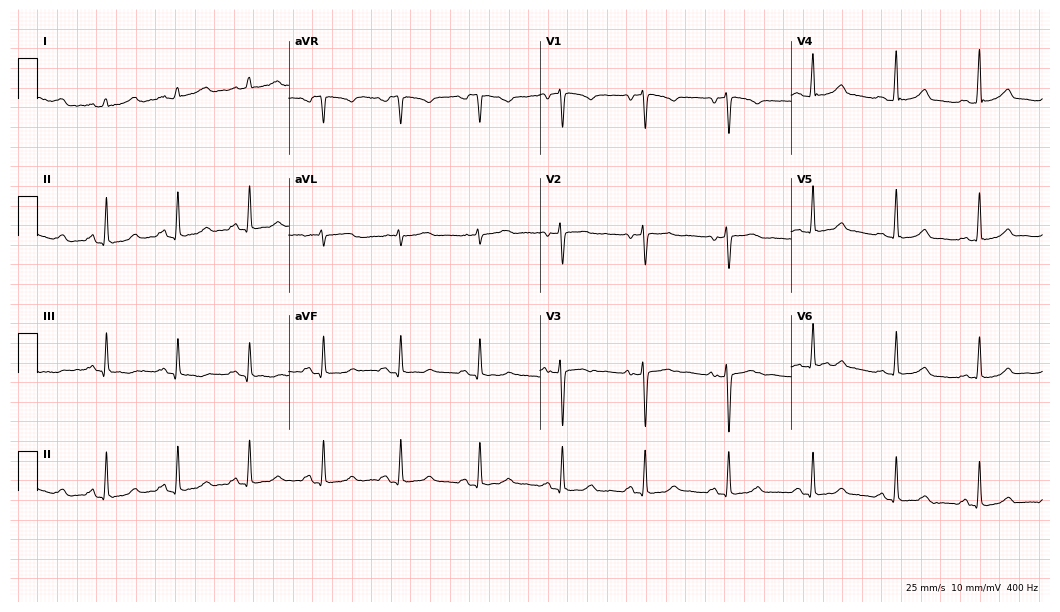
Standard 12-lead ECG recorded from a female patient, 29 years old. Read as a normal ECG.